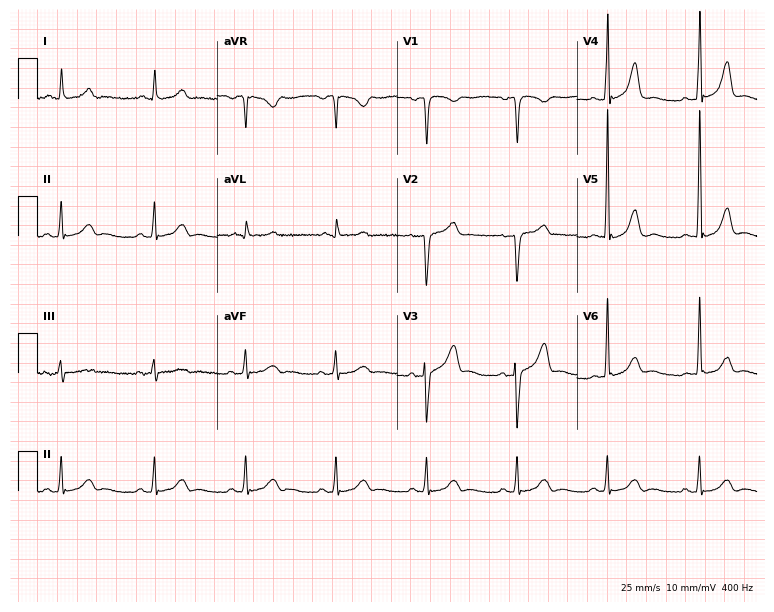
ECG — a 68-year-old man. Screened for six findings — first-degree AV block, right bundle branch block (RBBB), left bundle branch block (LBBB), sinus bradycardia, atrial fibrillation (AF), sinus tachycardia — none is recorded.